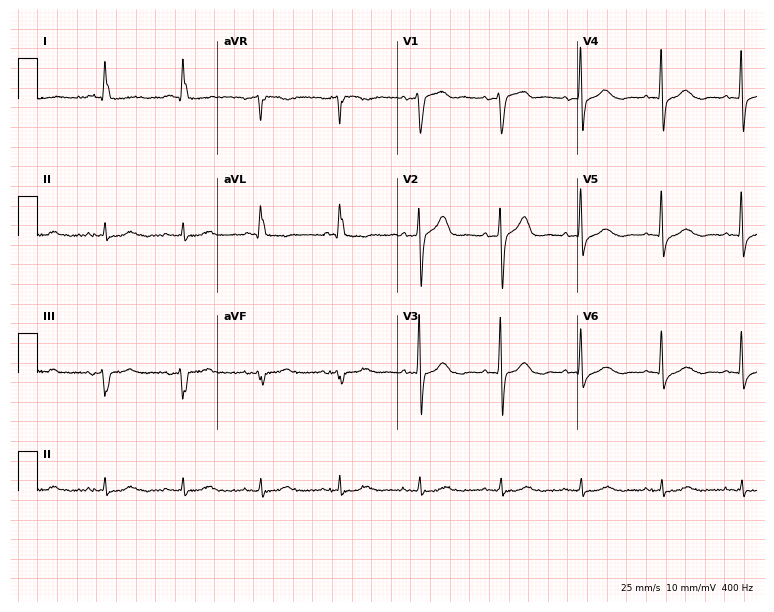
12-lead ECG (7.3-second recording at 400 Hz) from a 67-year-old male. Screened for six findings — first-degree AV block, right bundle branch block (RBBB), left bundle branch block (LBBB), sinus bradycardia, atrial fibrillation (AF), sinus tachycardia — none is recorded.